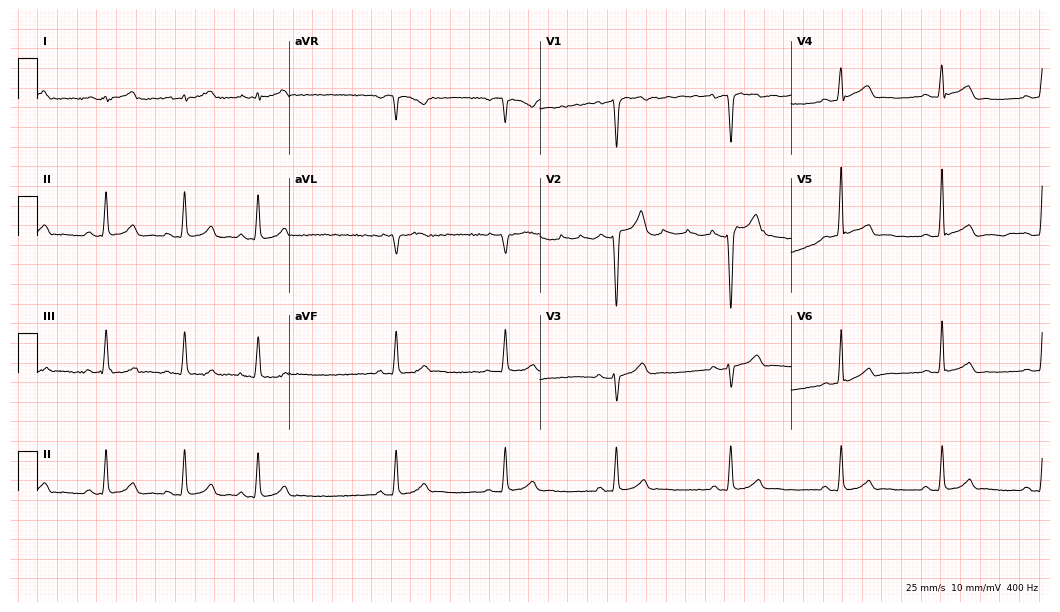
12-lead ECG (10.2-second recording at 400 Hz) from a male patient, 34 years old. Labelled as a normal ECG.